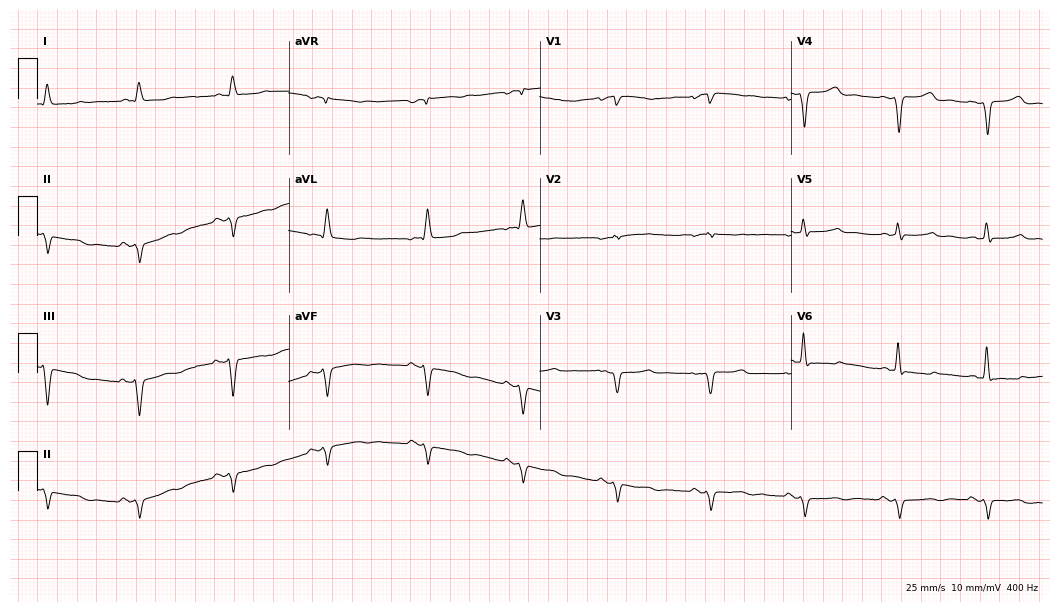
Resting 12-lead electrocardiogram (10.2-second recording at 400 Hz). Patient: a woman, 51 years old. The tracing shows left bundle branch block.